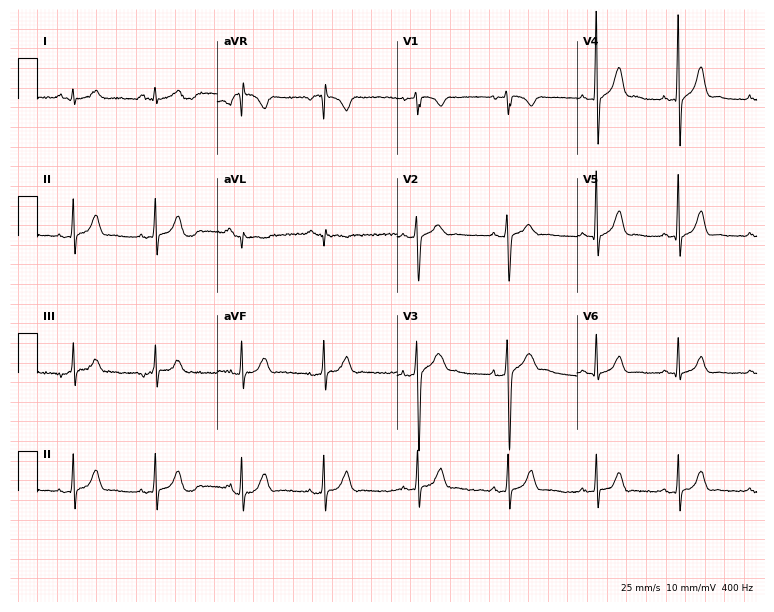
Resting 12-lead electrocardiogram (7.3-second recording at 400 Hz). Patient: a 40-year-old man. None of these six findings is recorded: first-degree AV block, right bundle branch block (RBBB), left bundle branch block (LBBB), sinus bradycardia, atrial fibrillation (AF), sinus tachycardia. Only these six findings were labelled.